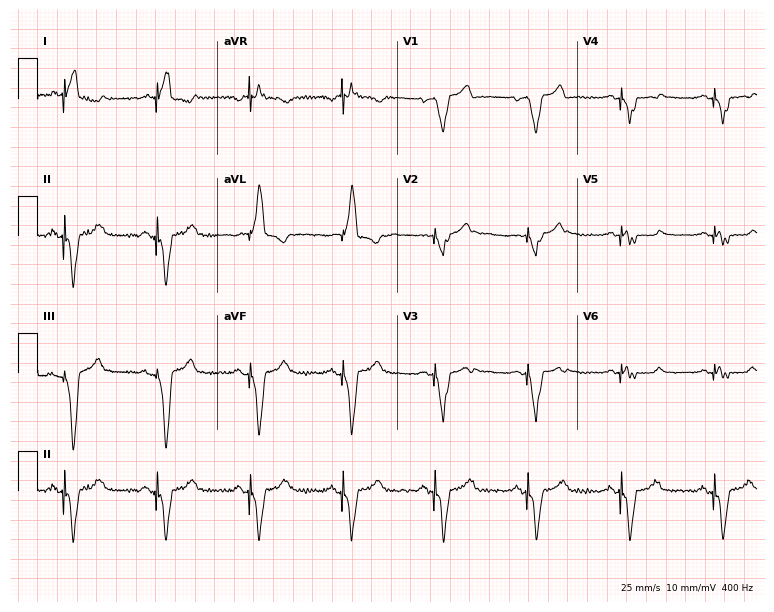
12-lead ECG from a male patient, 72 years old (7.3-second recording at 400 Hz). No first-degree AV block, right bundle branch block (RBBB), left bundle branch block (LBBB), sinus bradycardia, atrial fibrillation (AF) or sinus tachycardia recorded for this tracing. Other findings, if any, are not listed.